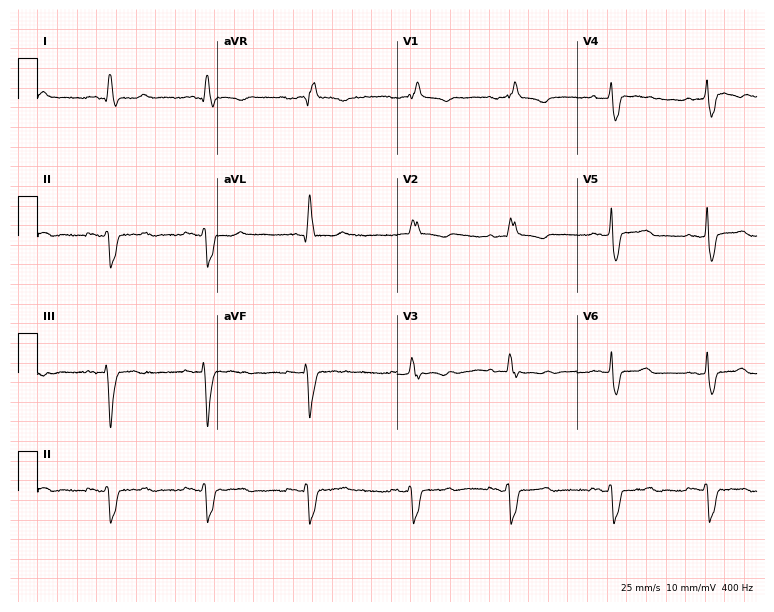
12-lead ECG from a 61-year-old female patient. Findings include right bundle branch block (RBBB).